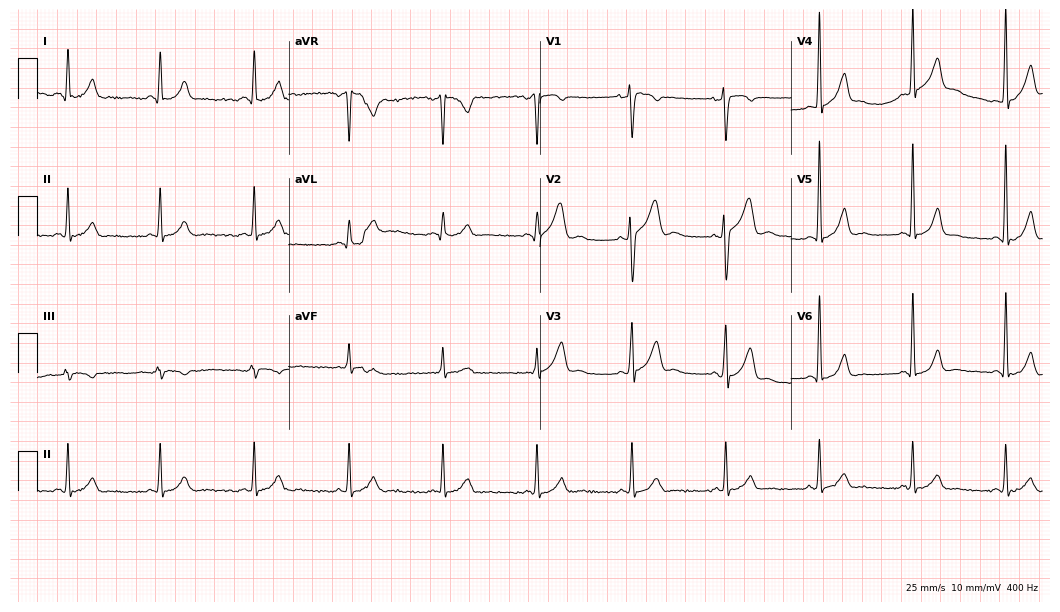
Resting 12-lead electrocardiogram (10.2-second recording at 400 Hz). Patient: a 40-year-old male. Read as a normal ECG.